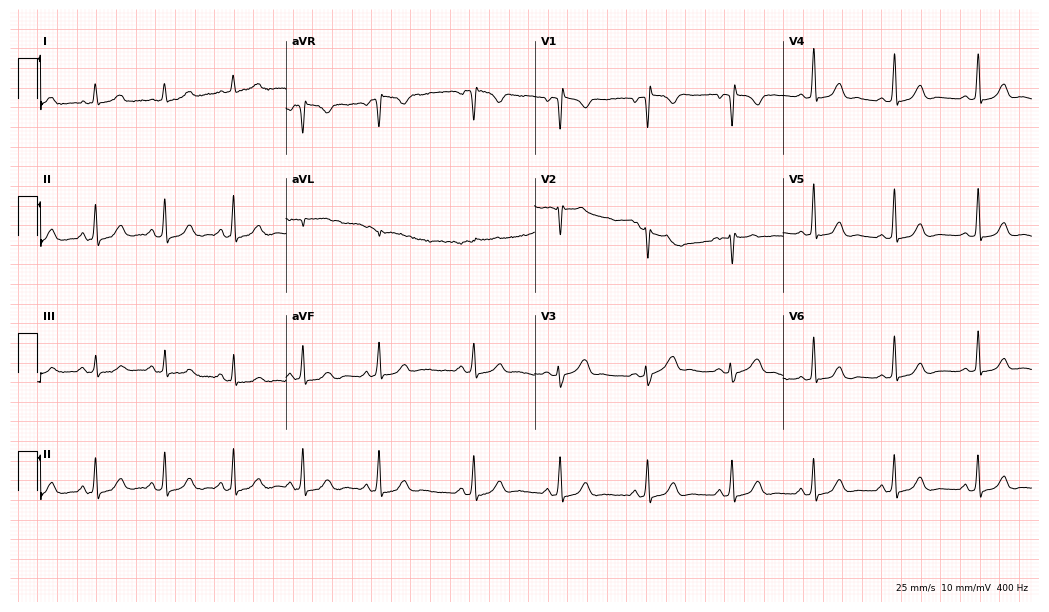
Standard 12-lead ECG recorded from a 17-year-old woman. None of these six findings is recorded: first-degree AV block, right bundle branch block (RBBB), left bundle branch block (LBBB), sinus bradycardia, atrial fibrillation (AF), sinus tachycardia.